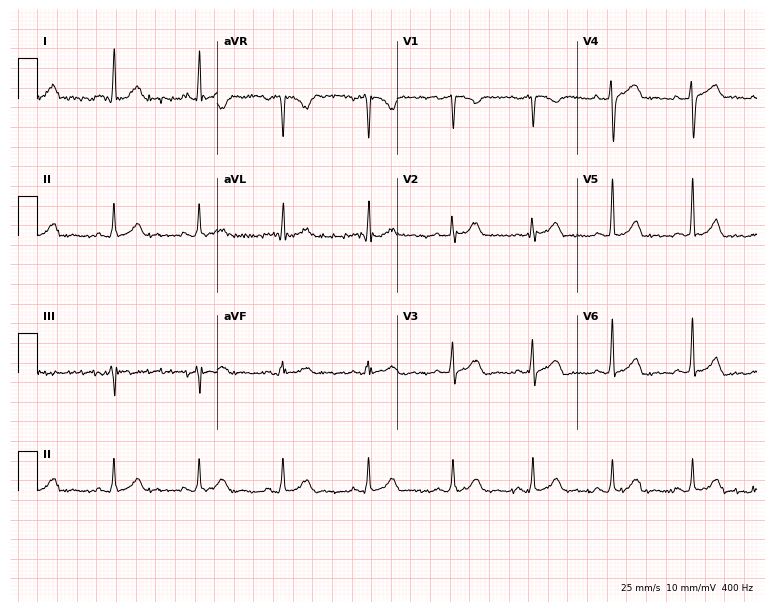
Electrocardiogram (7.3-second recording at 400 Hz), a male patient, 35 years old. Overall reading on record: normal ECG.